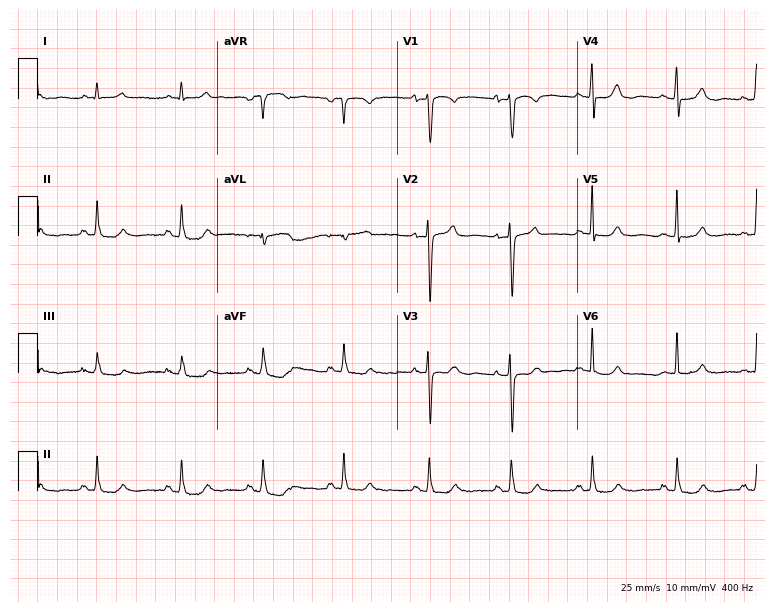
ECG (7.3-second recording at 400 Hz) — a woman, 50 years old. Screened for six findings — first-degree AV block, right bundle branch block (RBBB), left bundle branch block (LBBB), sinus bradycardia, atrial fibrillation (AF), sinus tachycardia — none is recorded. Findings outside these six are not listed.